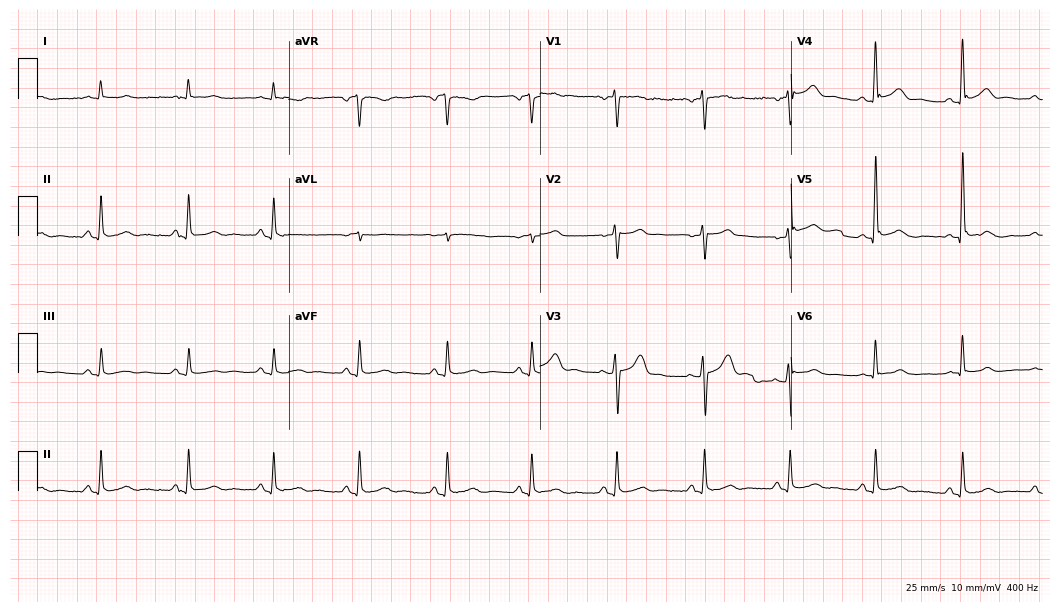
Electrocardiogram (10.2-second recording at 400 Hz), a male, 34 years old. Of the six screened findings (first-degree AV block, right bundle branch block, left bundle branch block, sinus bradycardia, atrial fibrillation, sinus tachycardia), none is recorded. Other findings, if any, are not listed.